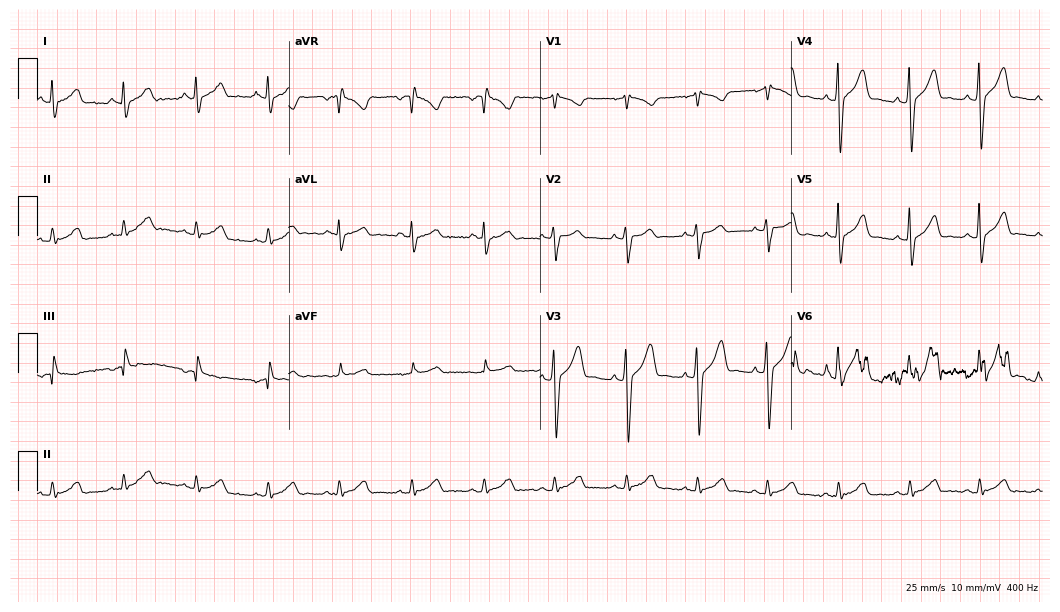
Resting 12-lead electrocardiogram (10.2-second recording at 400 Hz). Patient: a 38-year-old man. Read as a normal ECG.